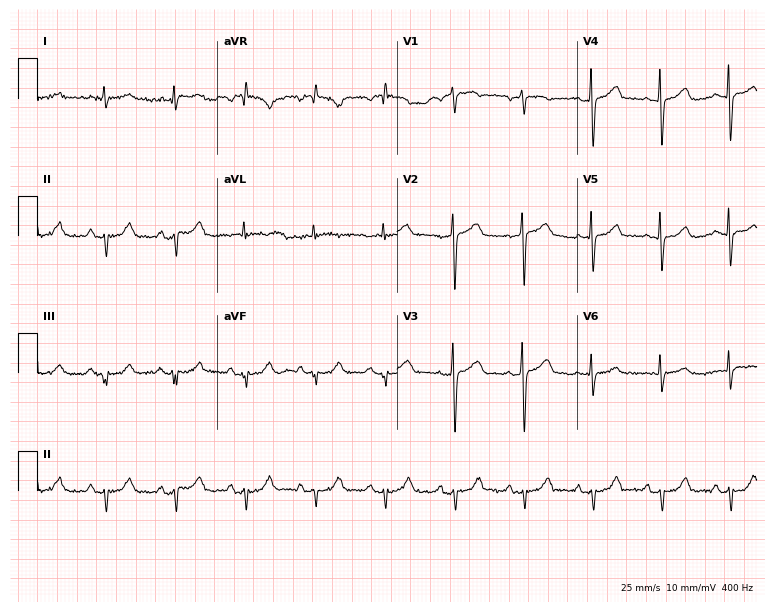
12-lead ECG (7.3-second recording at 400 Hz) from a 65-year-old male patient. Screened for six findings — first-degree AV block, right bundle branch block, left bundle branch block, sinus bradycardia, atrial fibrillation, sinus tachycardia — none is recorded.